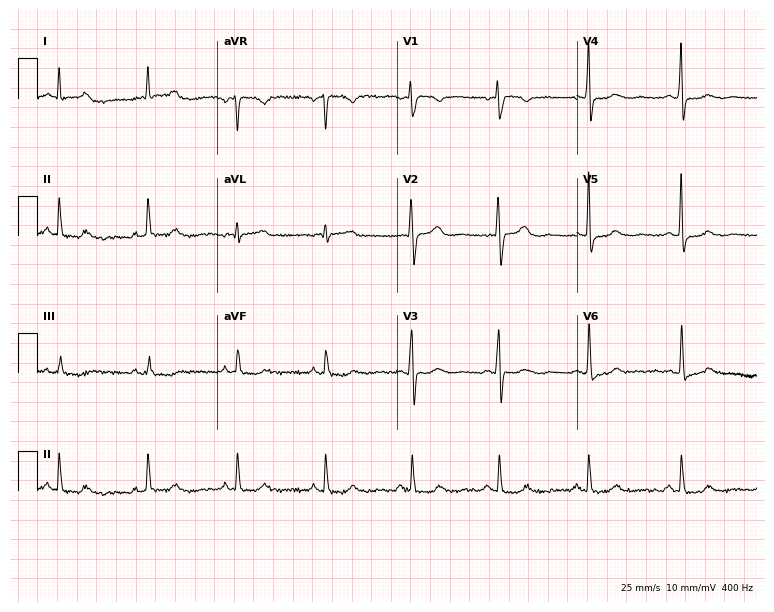
Resting 12-lead electrocardiogram (7.3-second recording at 400 Hz). Patient: a 55-year-old female. None of these six findings is recorded: first-degree AV block, right bundle branch block, left bundle branch block, sinus bradycardia, atrial fibrillation, sinus tachycardia.